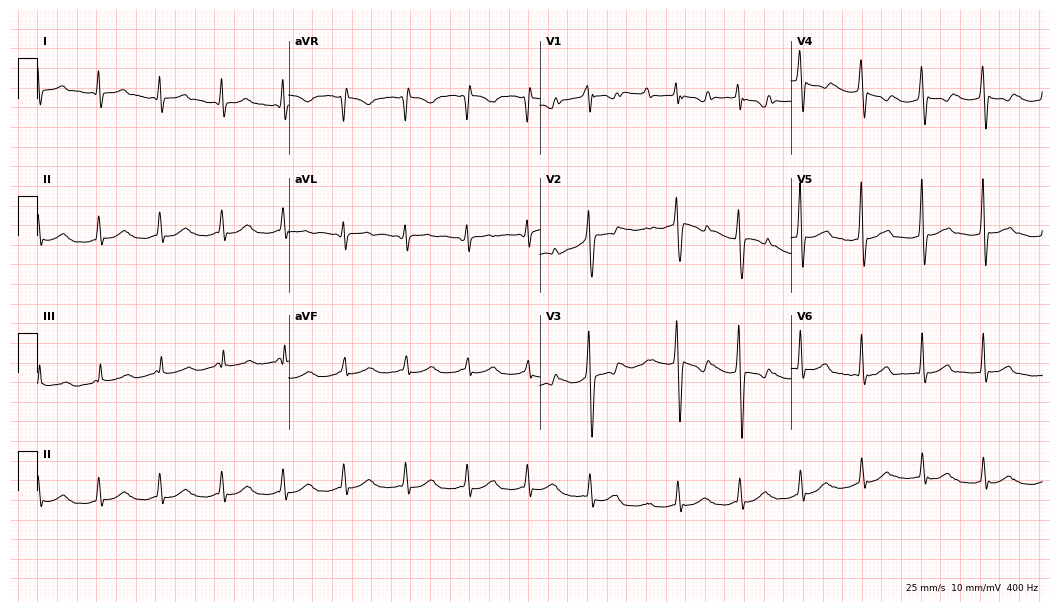
Electrocardiogram (10.2-second recording at 400 Hz), a 48-year-old male. Of the six screened findings (first-degree AV block, right bundle branch block (RBBB), left bundle branch block (LBBB), sinus bradycardia, atrial fibrillation (AF), sinus tachycardia), none is recorded. Only these six findings were labelled.